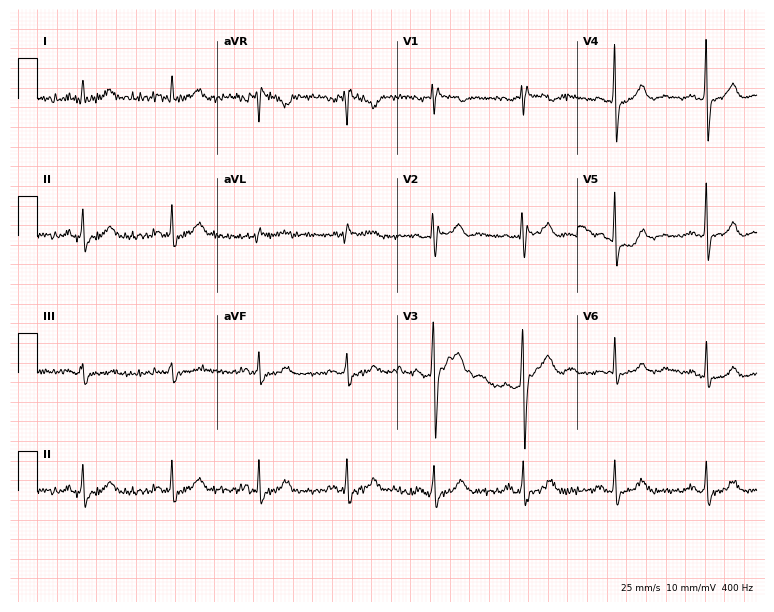
12-lead ECG from a 39-year-old male (7.3-second recording at 400 Hz). Recorded interpretation: within normal limits.